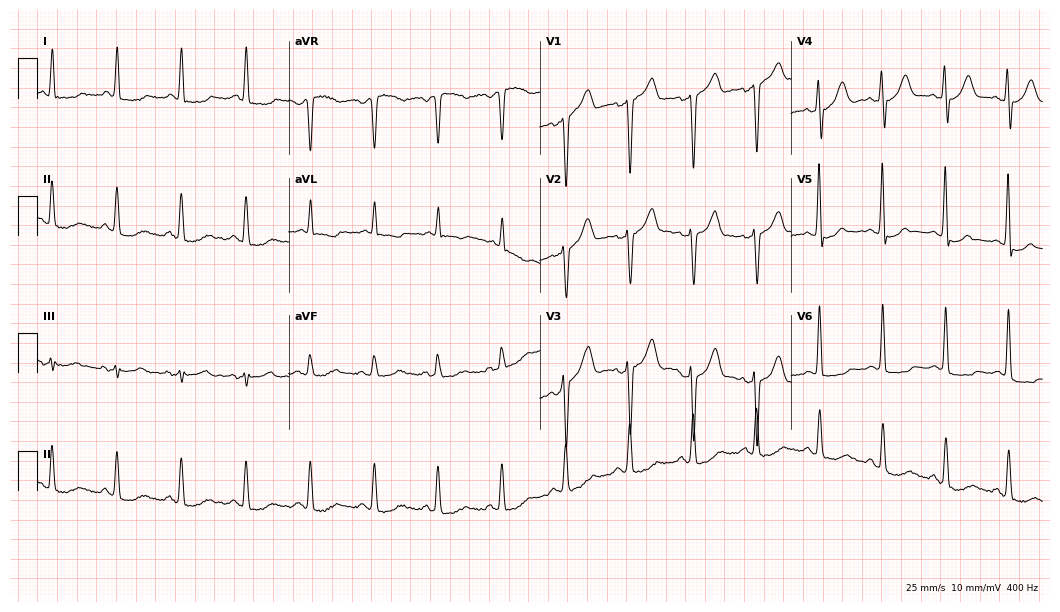
Electrocardiogram, a 60-year-old male patient. Of the six screened findings (first-degree AV block, right bundle branch block, left bundle branch block, sinus bradycardia, atrial fibrillation, sinus tachycardia), none is recorded. Findings outside these six are not listed.